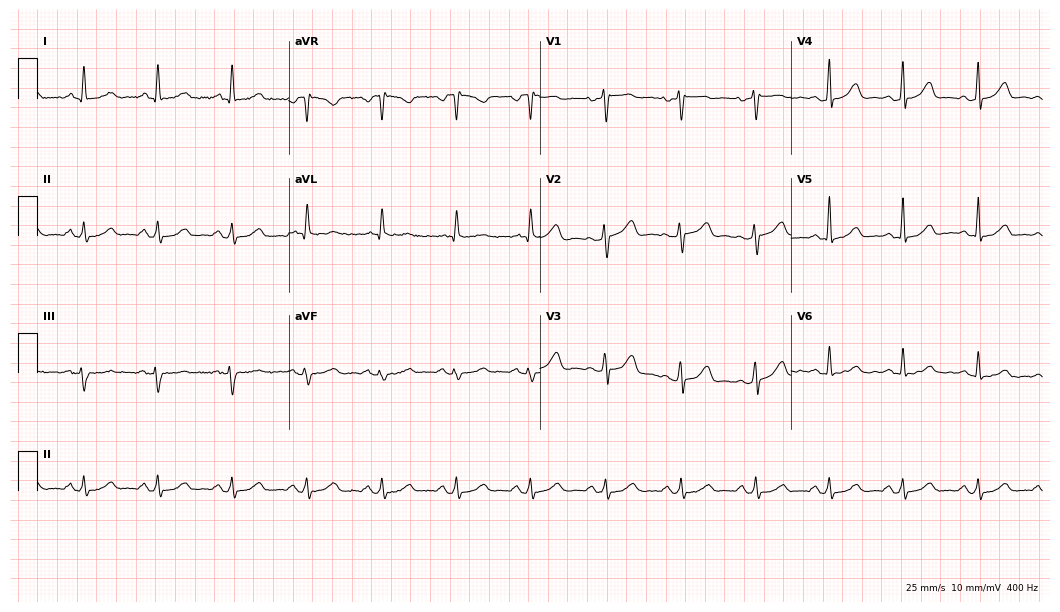
12-lead ECG from a female, 63 years old (10.2-second recording at 400 Hz). Recorded interpretation: within normal limits.